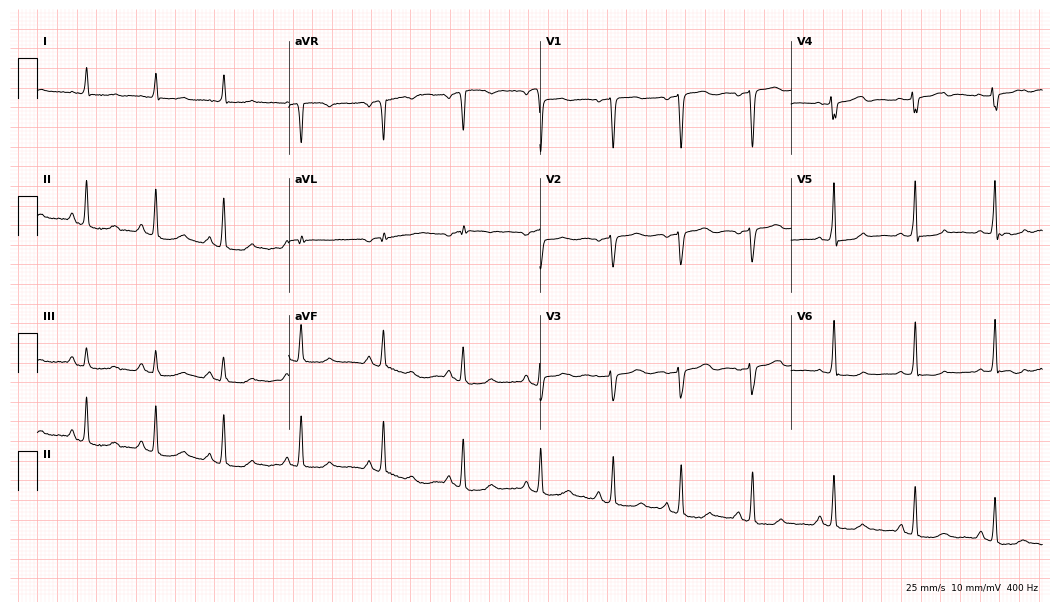
12-lead ECG (10.2-second recording at 400 Hz) from a woman, 71 years old. Screened for six findings — first-degree AV block, right bundle branch block, left bundle branch block, sinus bradycardia, atrial fibrillation, sinus tachycardia — none is recorded. Only these six findings were labelled.